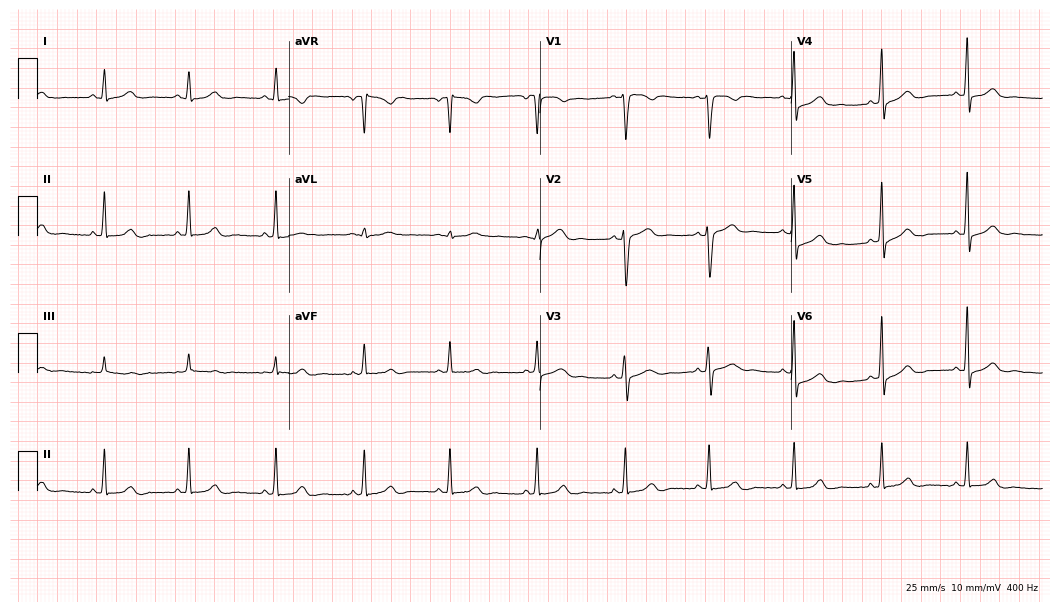
ECG (10.2-second recording at 400 Hz) — a woman, 38 years old. Screened for six findings — first-degree AV block, right bundle branch block (RBBB), left bundle branch block (LBBB), sinus bradycardia, atrial fibrillation (AF), sinus tachycardia — none is recorded. Other findings, if any, are not listed.